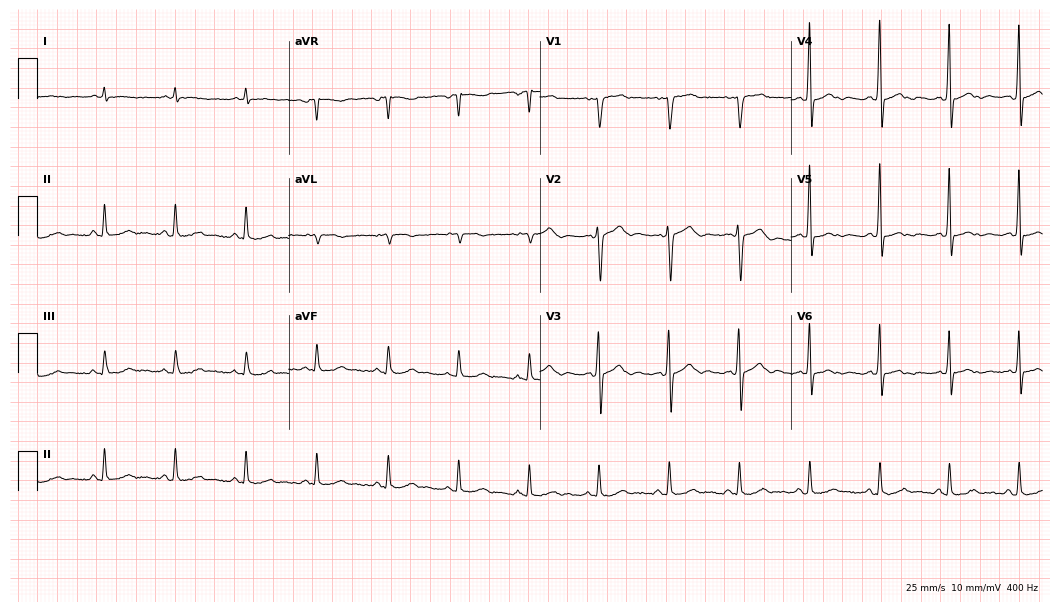
12-lead ECG from a man, 77 years old (10.2-second recording at 400 Hz). No first-degree AV block, right bundle branch block, left bundle branch block, sinus bradycardia, atrial fibrillation or sinus tachycardia recorded for this tracing. Only these six findings were labelled.